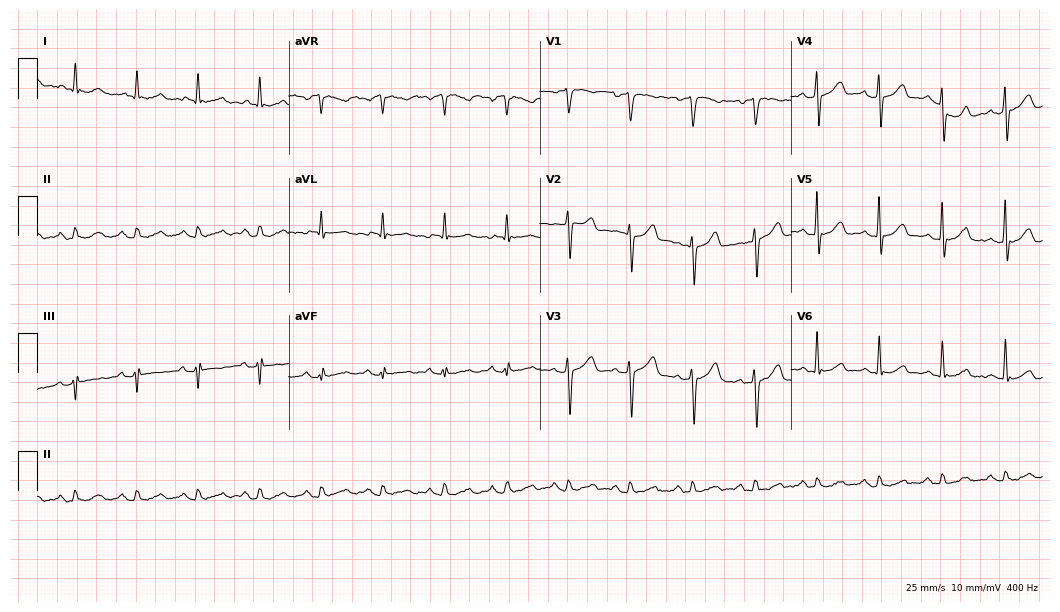
Electrocardiogram, a man, 54 years old. Overall reading on record: normal ECG.